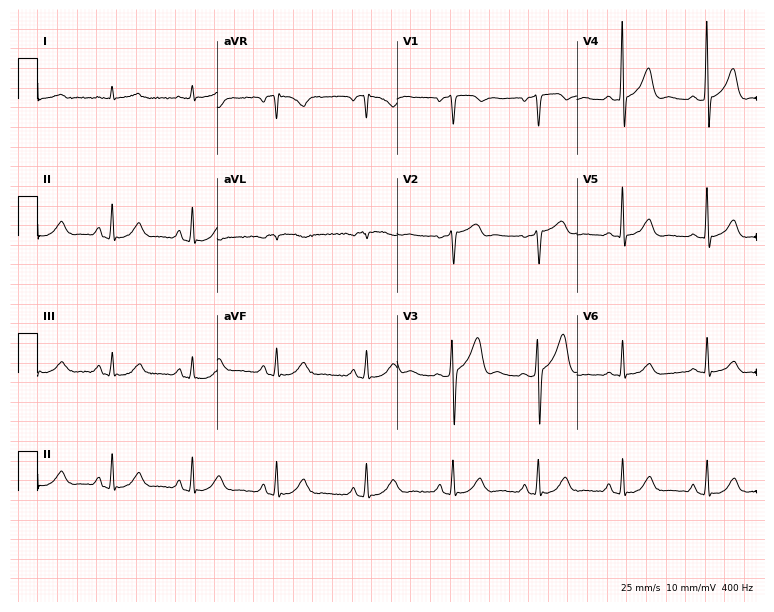
Standard 12-lead ECG recorded from a 63-year-old male. None of these six findings is recorded: first-degree AV block, right bundle branch block (RBBB), left bundle branch block (LBBB), sinus bradycardia, atrial fibrillation (AF), sinus tachycardia. Only these six findings were labelled.